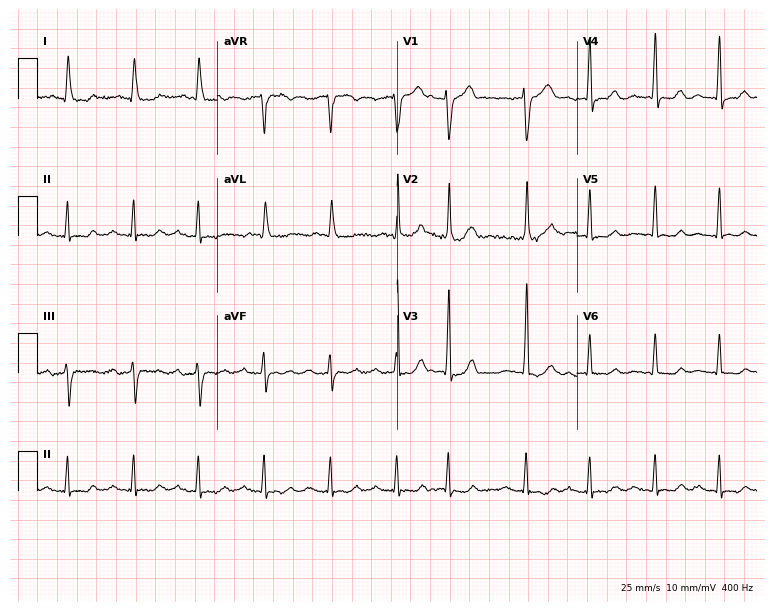
12-lead ECG from a 78-year-old male patient. No first-degree AV block, right bundle branch block, left bundle branch block, sinus bradycardia, atrial fibrillation or sinus tachycardia recorded for this tracing.